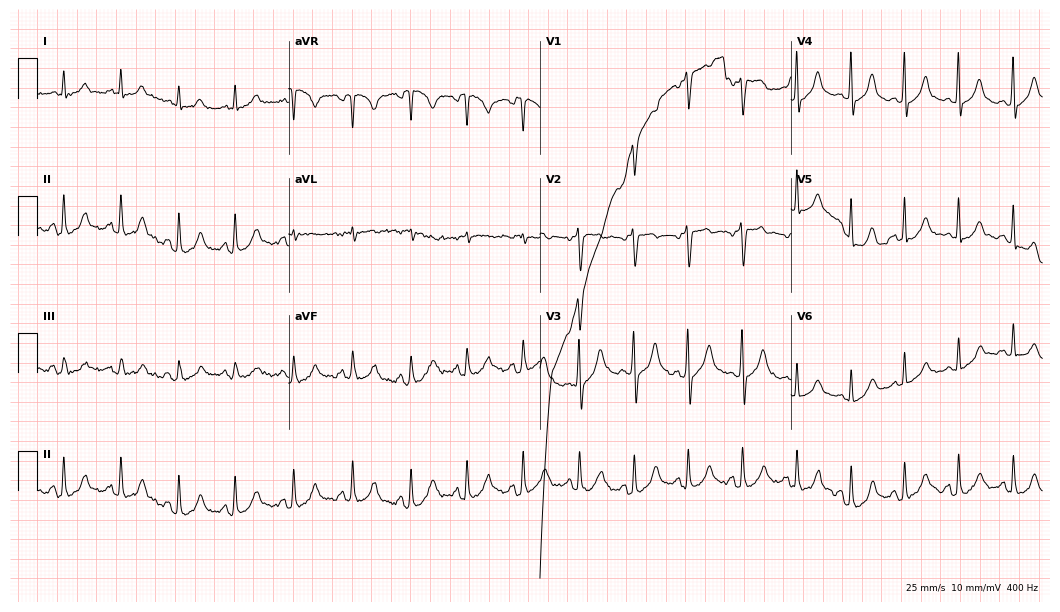
ECG — a 41-year-old woman. Findings include sinus tachycardia (a sinus rate of 100 beats per minute or more).